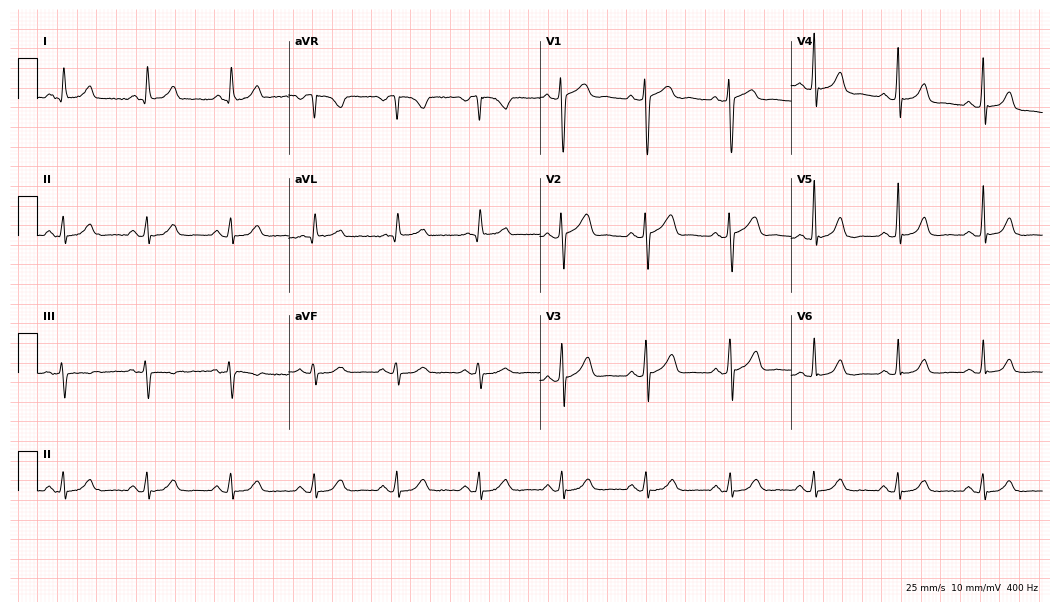
Standard 12-lead ECG recorded from a male patient, 57 years old (10.2-second recording at 400 Hz). Read as a normal ECG.